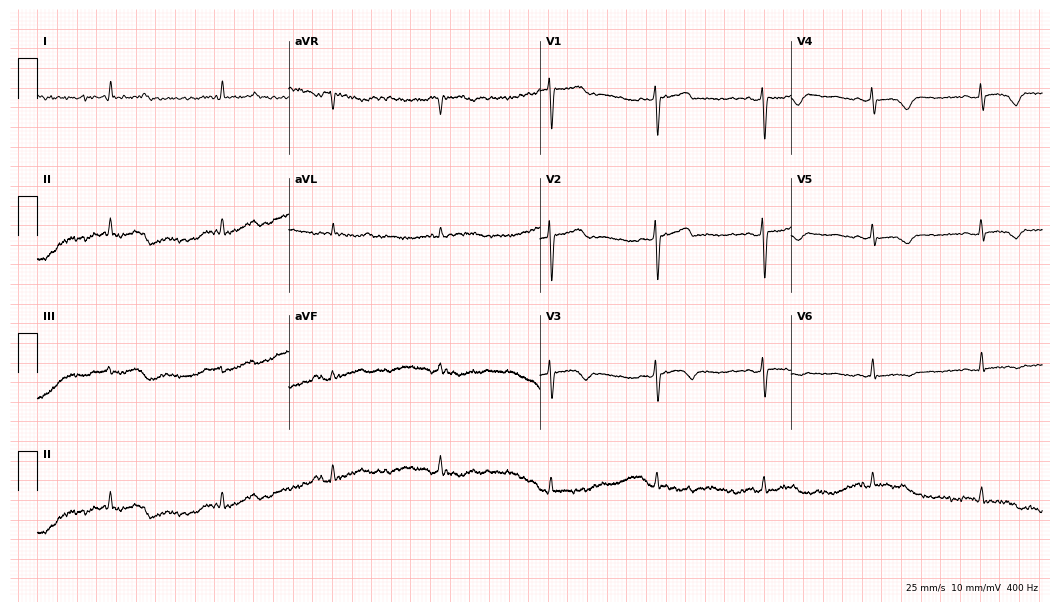
12-lead ECG from a 51-year-old female patient (10.2-second recording at 400 Hz). No first-degree AV block, right bundle branch block, left bundle branch block, sinus bradycardia, atrial fibrillation or sinus tachycardia recorded for this tracing. Findings outside these six are not listed.